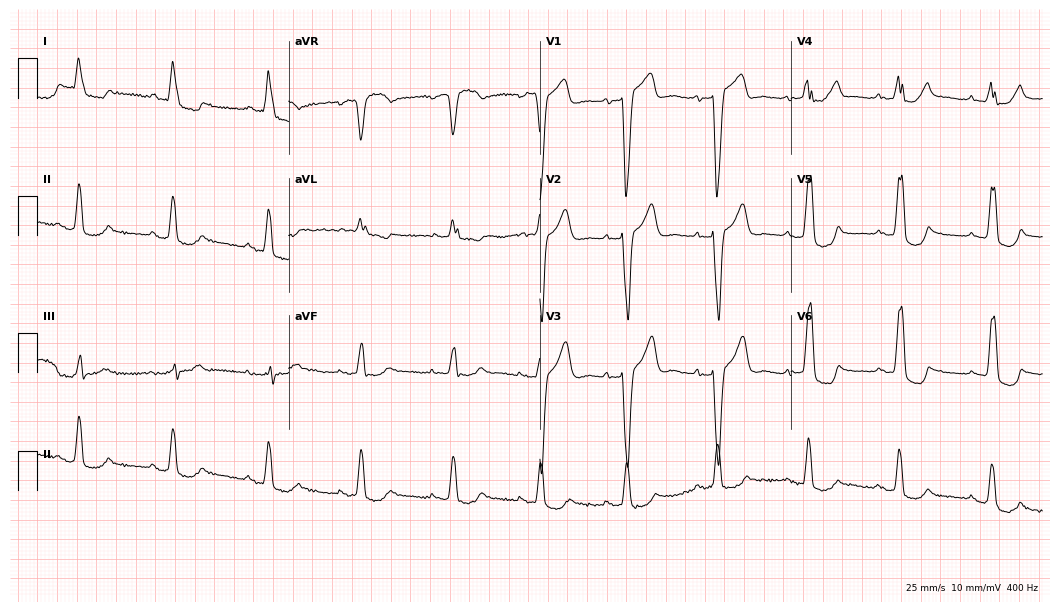
ECG (10.2-second recording at 400 Hz) — an 83-year-old female. Findings include left bundle branch block.